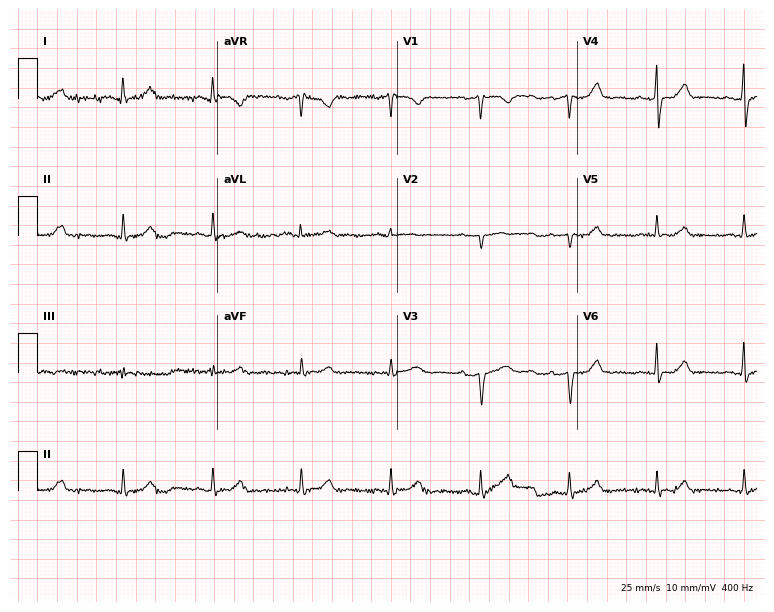
ECG (7.3-second recording at 400 Hz) — a female, 61 years old. Screened for six findings — first-degree AV block, right bundle branch block, left bundle branch block, sinus bradycardia, atrial fibrillation, sinus tachycardia — none is recorded. Only these six findings were labelled.